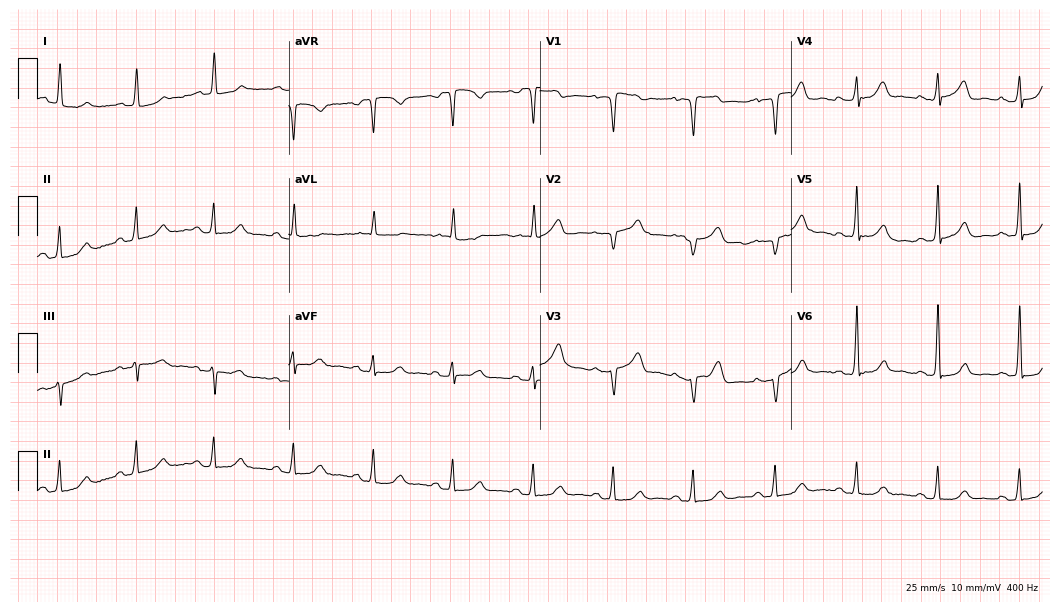
12-lead ECG from a 79-year-old man (10.2-second recording at 400 Hz). No first-degree AV block, right bundle branch block (RBBB), left bundle branch block (LBBB), sinus bradycardia, atrial fibrillation (AF) or sinus tachycardia recorded for this tracing. Other findings, if any, are not listed.